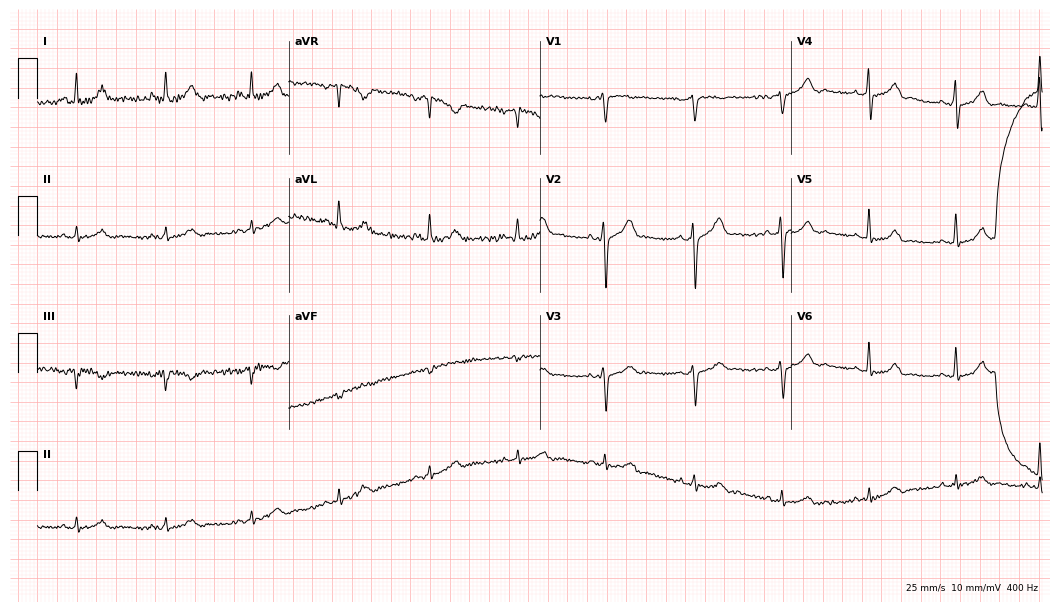
12-lead ECG from a male, 37 years old (10.2-second recording at 400 Hz). Recorded interpretation: within normal limits.